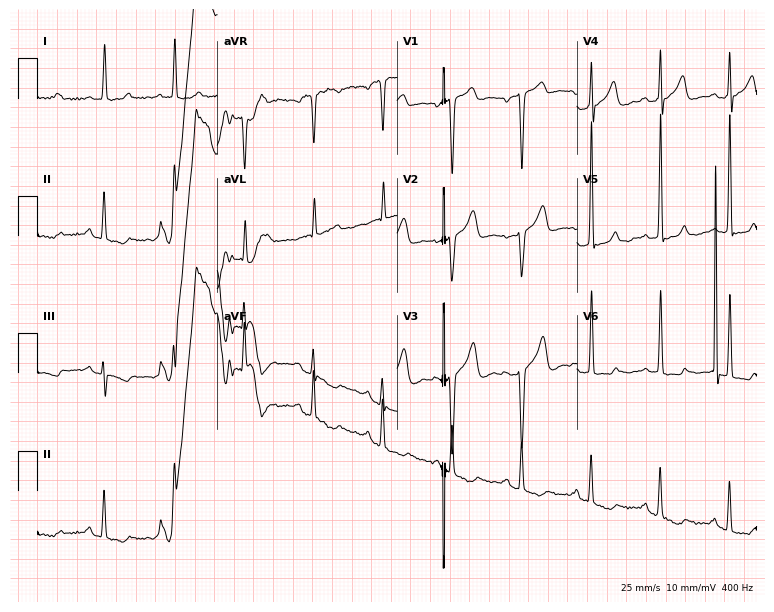
Standard 12-lead ECG recorded from a male patient, 59 years old. None of these six findings is recorded: first-degree AV block, right bundle branch block, left bundle branch block, sinus bradycardia, atrial fibrillation, sinus tachycardia. Findings outside these six are not listed.